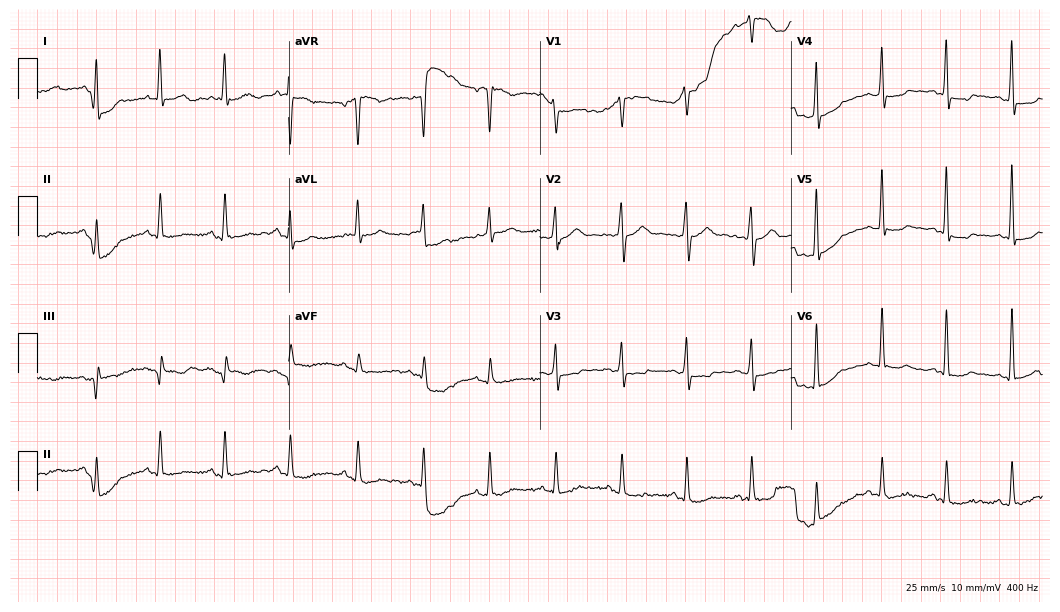
Electrocardiogram, a female patient, 35 years old. Of the six screened findings (first-degree AV block, right bundle branch block, left bundle branch block, sinus bradycardia, atrial fibrillation, sinus tachycardia), none is recorded.